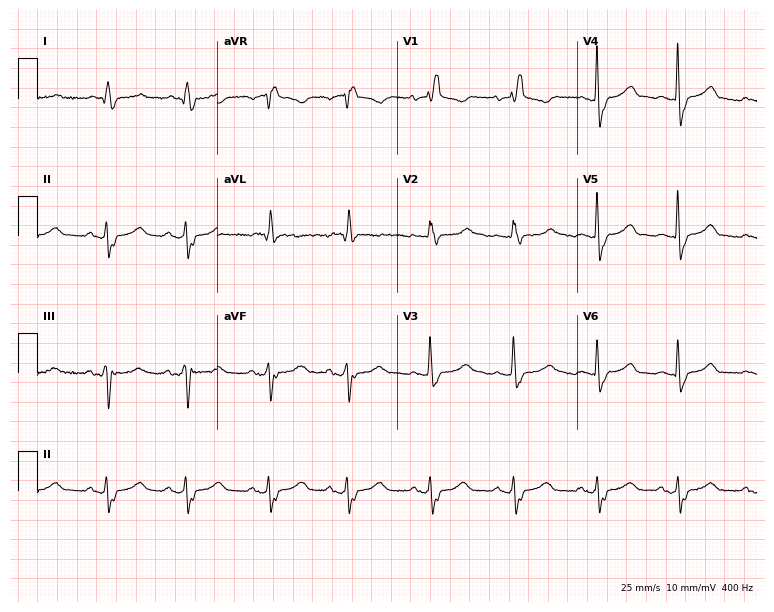
Standard 12-lead ECG recorded from a woman, 78 years old. The tracing shows right bundle branch block (RBBB).